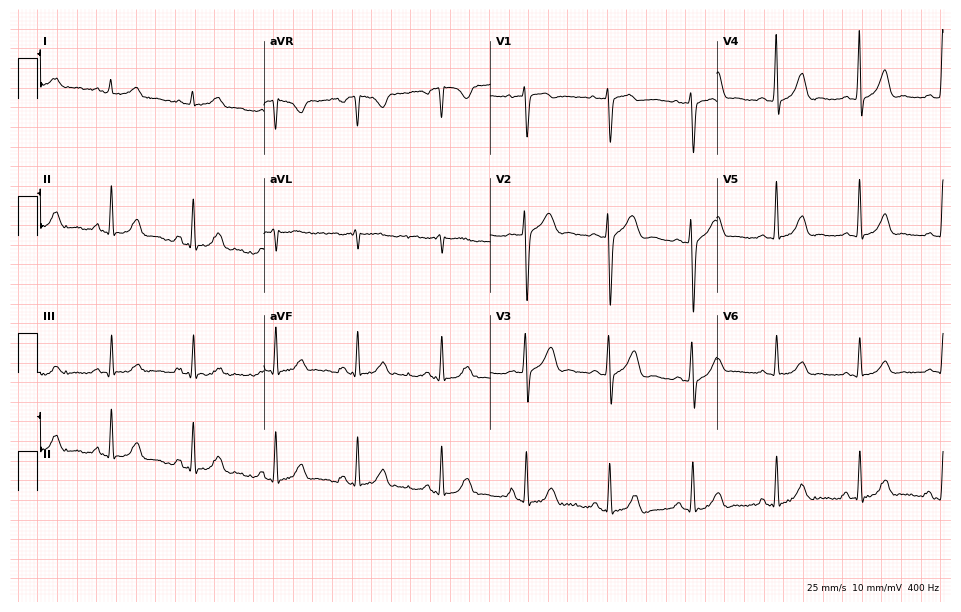
ECG — a male, 54 years old. Screened for six findings — first-degree AV block, right bundle branch block, left bundle branch block, sinus bradycardia, atrial fibrillation, sinus tachycardia — none is recorded. Findings outside these six are not listed.